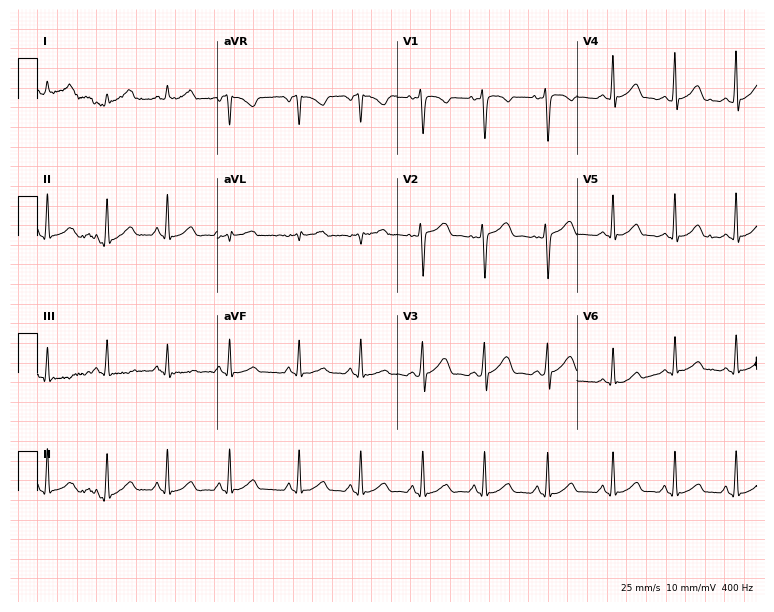
Electrocardiogram, a female patient, 26 years old. Of the six screened findings (first-degree AV block, right bundle branch block, left bundle branch block, sinus bradycardia, atrial fibrillation, sinus tachycardia), none is recorded.